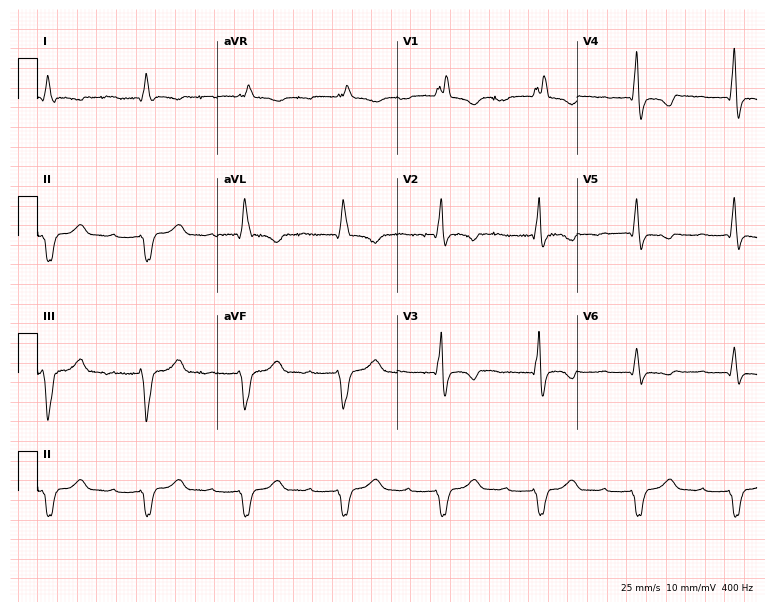
12-lead ECG from a male, 39 years old. Findings include right bundle branch block.